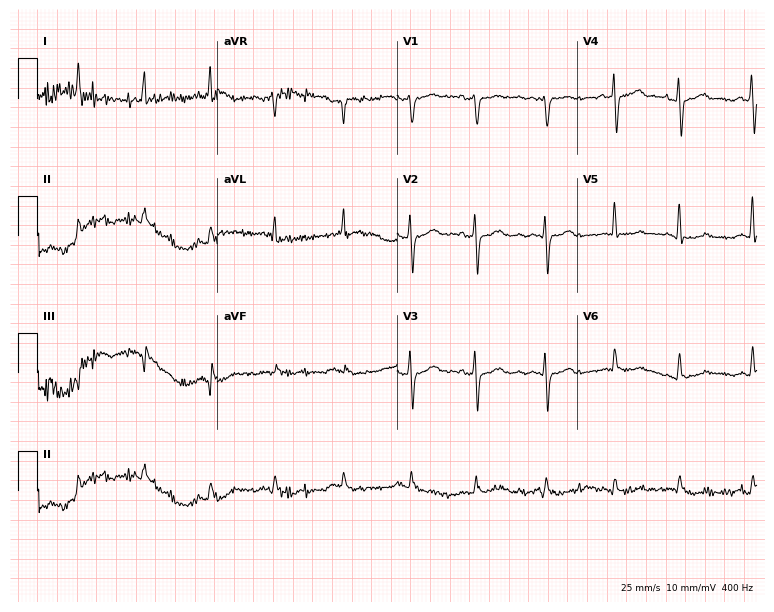
Standard 12-lead ECG recorded from a 77-year-old male (7.3-second recording at 400 Hz). None of these six findings is recorded: first-degree AV block, right bundle branch block, left bundle branch block, sinus bradycardia, atrial fibrillation, sinus tachycardia. Findings outside these six are not listed.